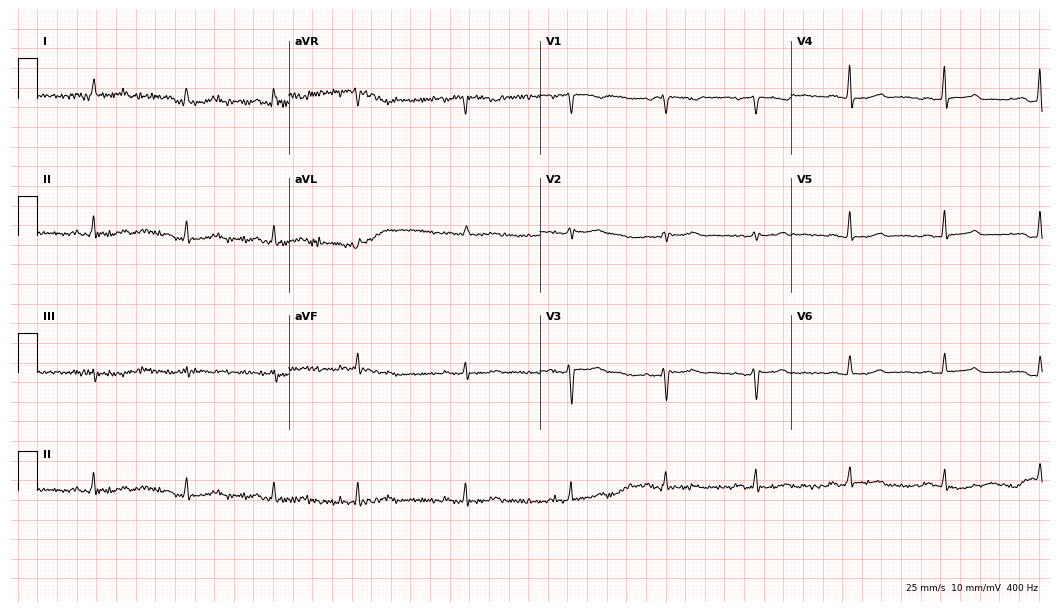
12-lead ECG from a female, 45 years old (10.2-second recording at 400 Hz). No first-degree AV block, right bundle branch block (RBBB), left bundle branch block (LBBB), sinus bradycardia, atrial fibrillation (AF) or sinus tachycardia recorded for this tracing. Only these six findings were labelled.